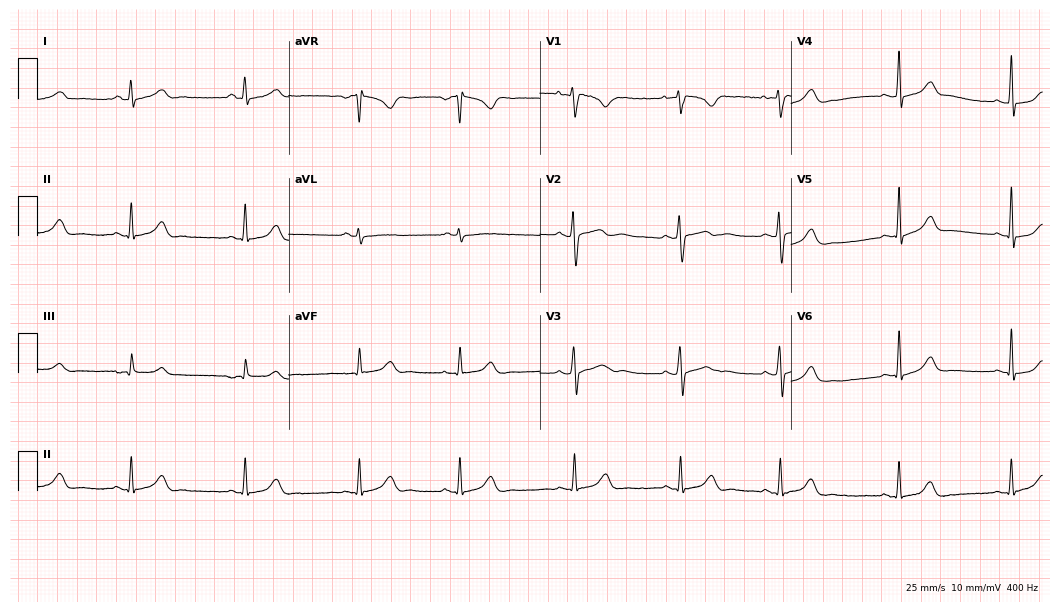
12-lead ECG (10.2-second recording at 400 Hz) from a woman, 31 years old. Labelled as a normal ECG.